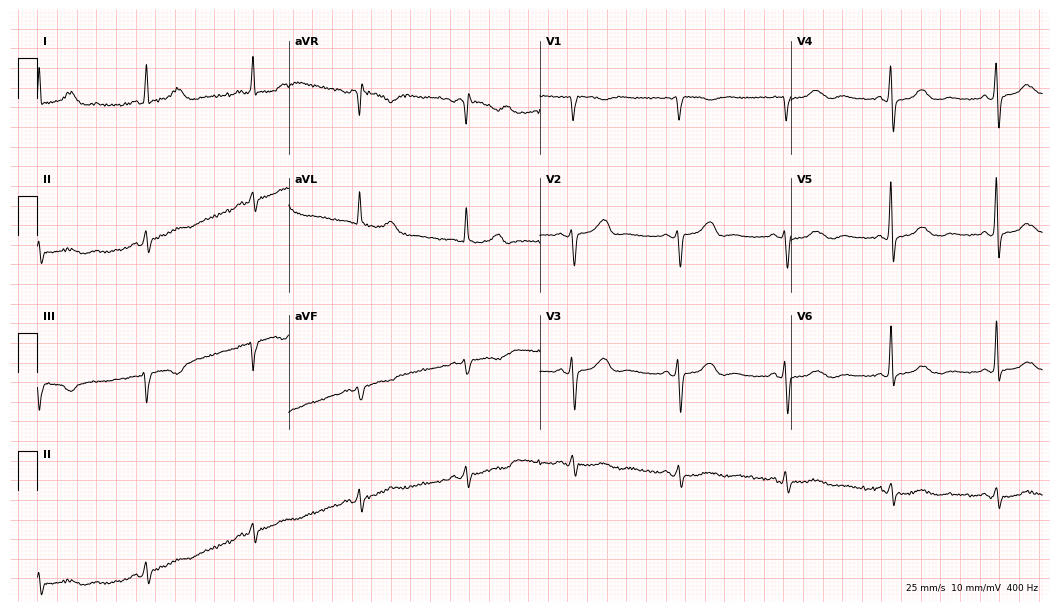
ECG (10.2-second recording at 400 Hz) — a 77-year-old male. Screened for six findings — first-degree AV block, right bundle branch block, left bundle branch block, sinus bradycardia, atrial fibrillation, sinus tachycardia — none is recorded. Other findings, if any, are not listed.